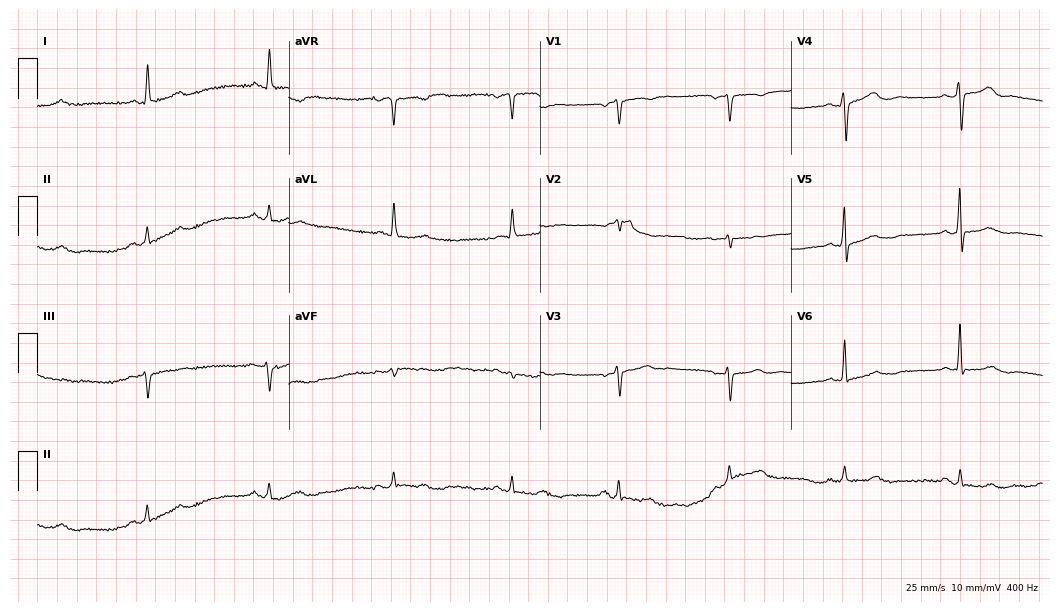
Resting 12-lead electrocardiogram. Patient: a 57-year-old female. None of these six findings is recorded: first-degree AV block, right bundle branch block, left bundle branch block, sinus bradycardia, atrial fibrillation, sinus tachycardia. Findings outside these six are not listed.